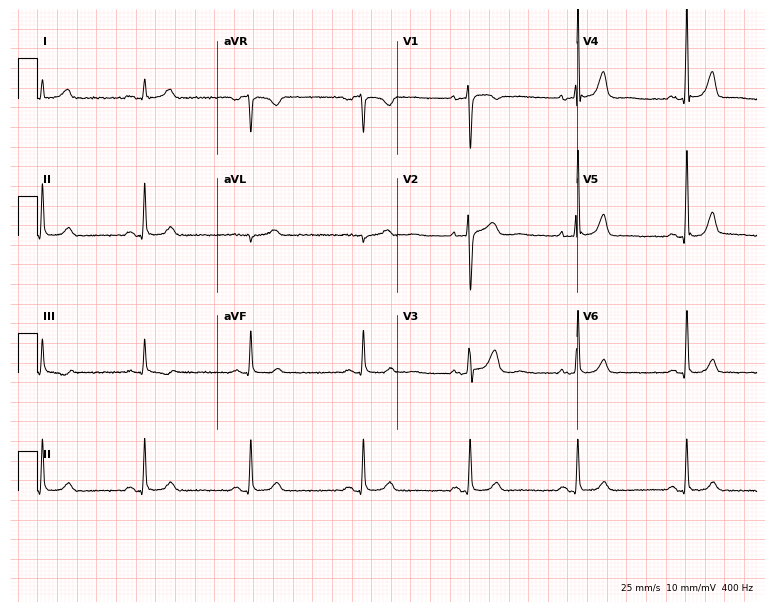
12-lead ECG from a 39-year-old woman. No first-degree AV block, right bundle branch block (RBBB), left bundle branch block (LBBB), sinus bradycardia, atrial fibrillation (AF) or sinus tachycardia recorded for this tracing.